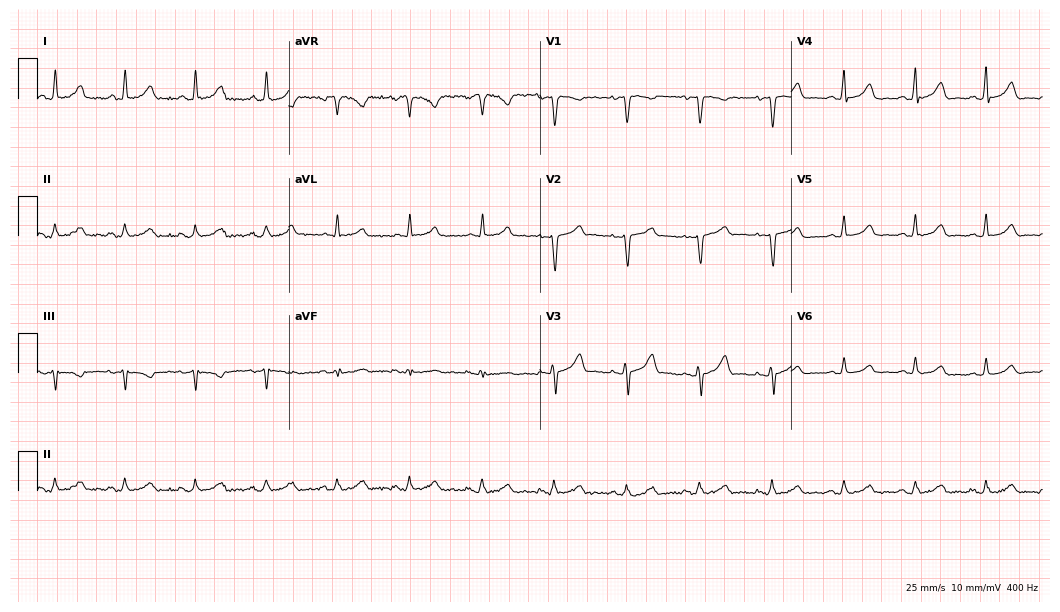
Electrocardiogram (10.2-second recording at 400 Hz), a female, 48 years old. Of the six screened findings (first-degree AV block, right bundle branch block, left bundle branch block, sinus bradycardia, atrial fibrillation, sinus tachycardia), none is recorded. Findings outside these six are not listed.